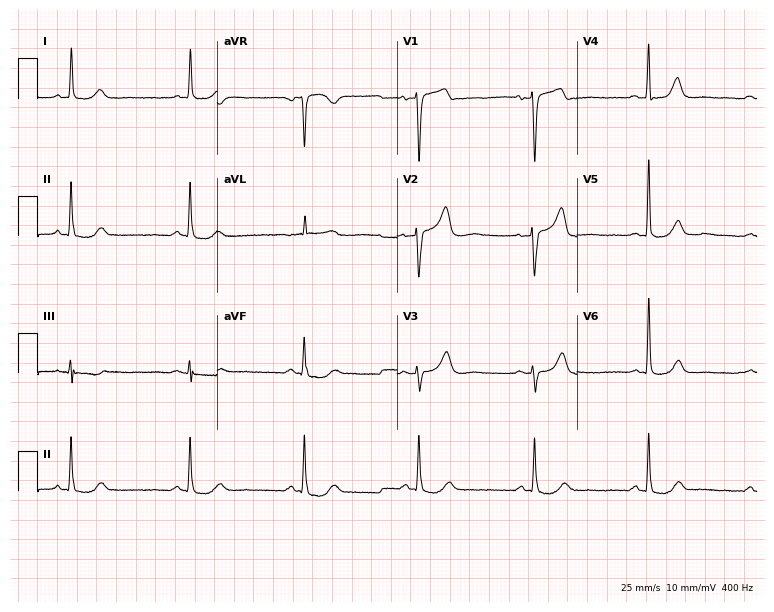
12-lead ECG from a 66-year-old female (7.3-second recording at 400 Hz). No first-degree AV block, right bundle branch block, left bundle branch block, sinus bradycardia, atrial fibrillation or sinus tachycardia recorded for this tracing.